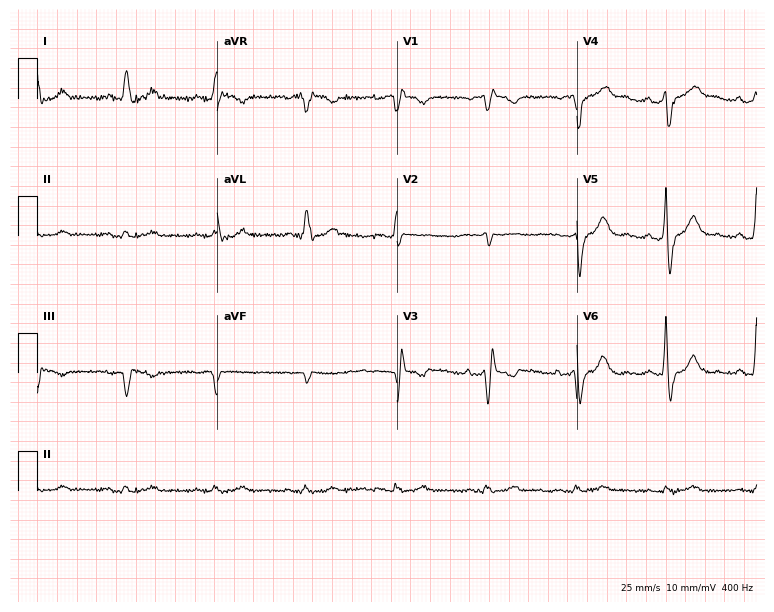
Standard 12-lead ECG recorded from a man, 79 years old. None of these six findings is recorded: first-degree AV block, right bundle branch block, left bundle branch block, sinus bradycardia, atrial fibrillation, sinus tachycardia. Only these six findings were labelled.